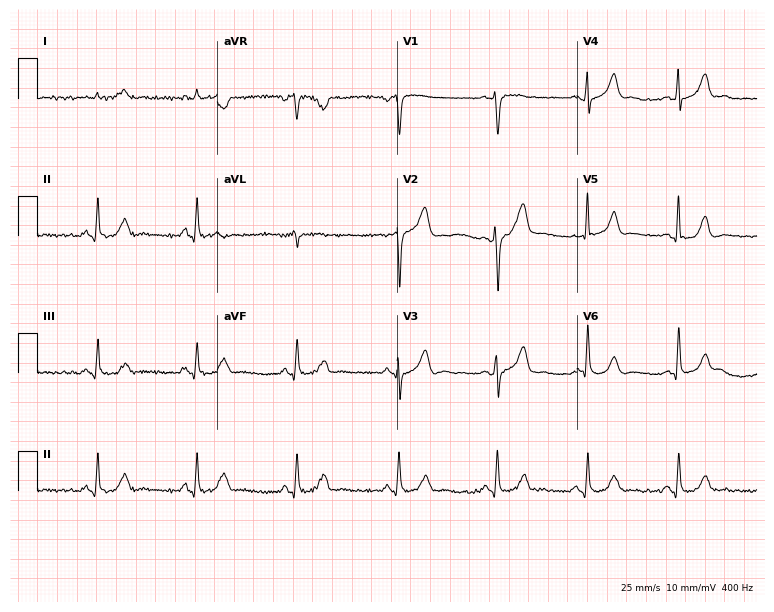
Electrocardiogram (7.3-second recording at 400 Hz), a male patient, 55 years old. Overall reading on record: normal ECG.